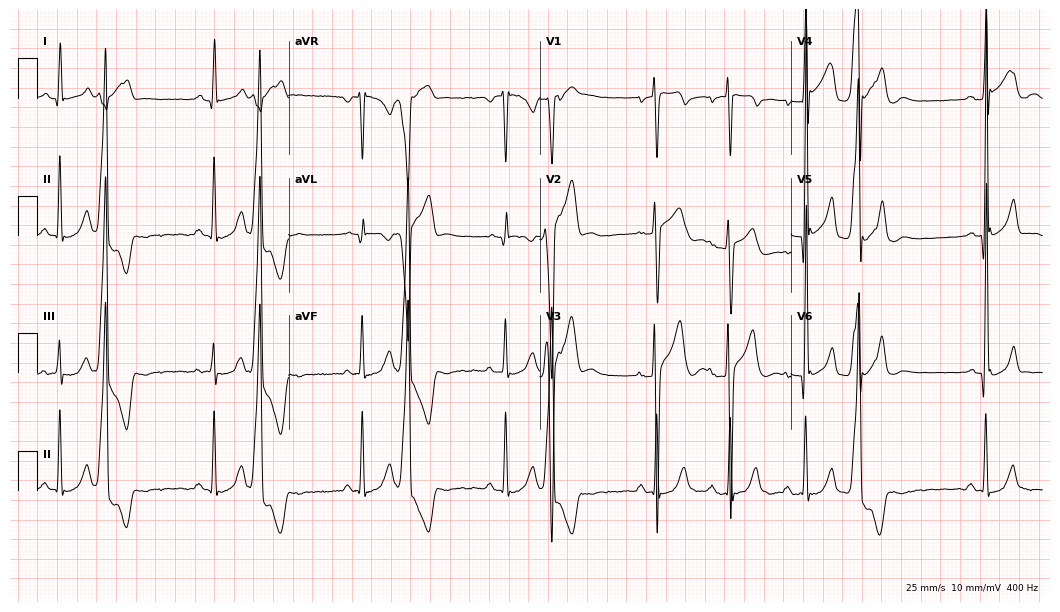
Electrocardiogram, a man, 26 years old. Of the six screened findings (first-degree AV block, right bundle branch block, left bundle branch block, sinus bradycardia, atrial fibrillation, sinus tachycardia), none is recorded. Only these six findings were labelled.